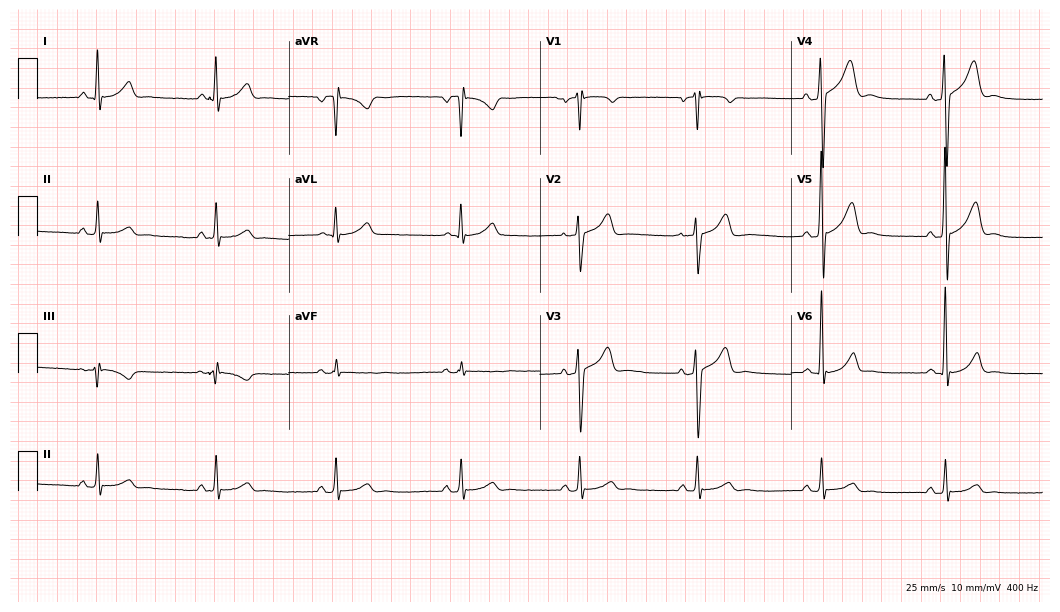
12-lead ECG (10.2-second recording at 400 Hz) from a 59-year-old man. Findings include sinus bradycardia (a sinus rate of 50 beats per minute or less).